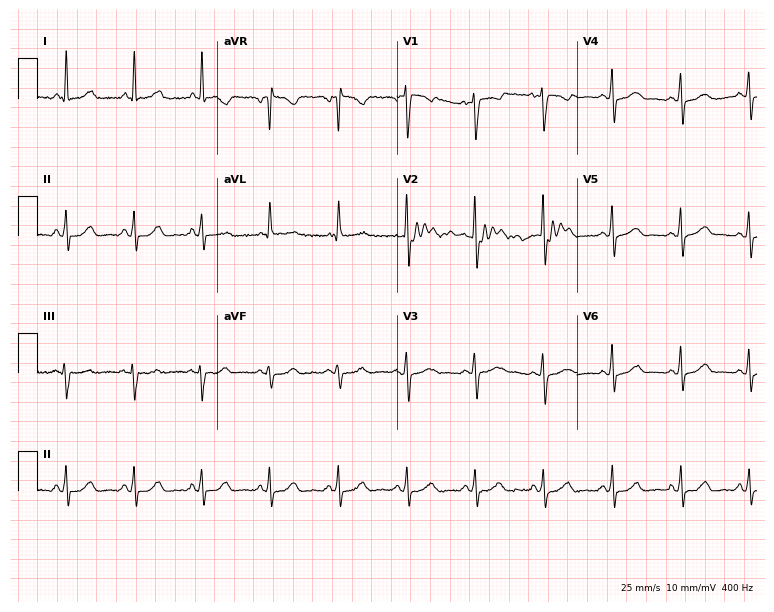
Electrocardiogram (7.3-second recording at 400 Hz), a 47-year-old woman. Of the six screened findings (first-degree AV block, right bundle branch block, left bundle branch block, sinus bradycardia, atrial fibrillation, sinus tachycardia), none is recorded. Other findings, if any, are not listed.